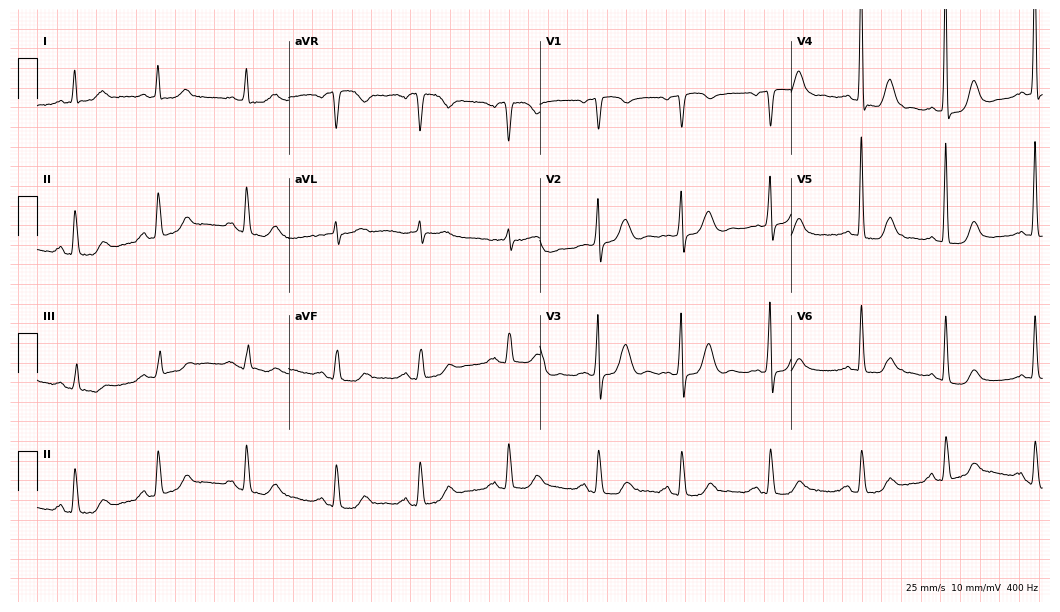
12-lead ECG from a female, 81 years old (10.2-second recording at 400 Hz). Recorded interpretation: within normal limits.